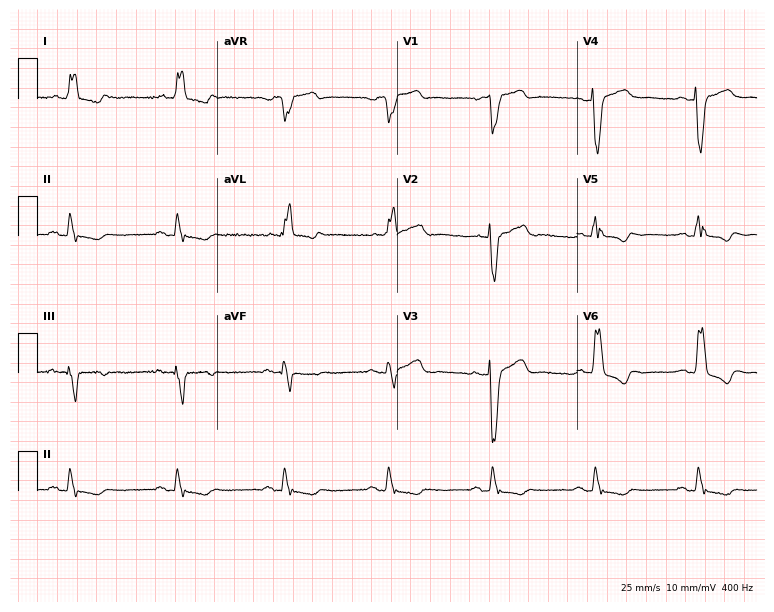
12-lead ECG (7.3-second recording at 400 Hz) from a male, 81 years old. Findings include left bundle branch block.